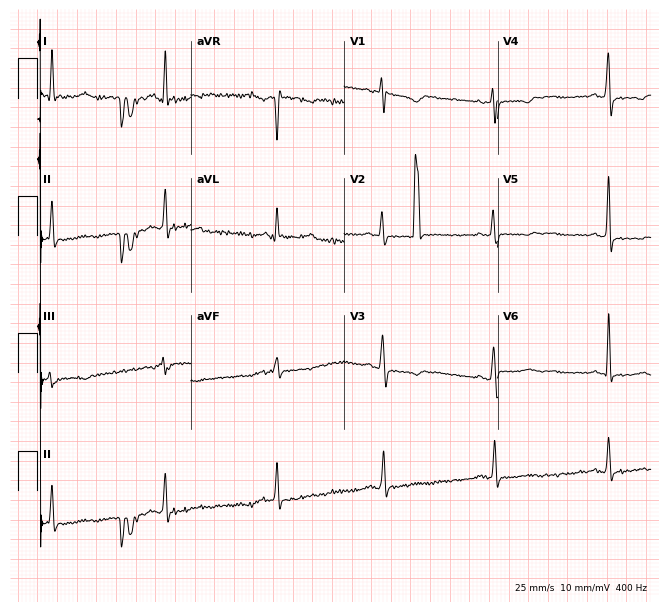
Resting 12-lead electrocardiogram. Patient: a woman, 60 years old. None of these six findings is recorded: first-degree AV block, right bundle branch block, left bundle branch block, sinus bradycardia, atrial fibrillation, sinus tachycardia. Findings outside these six are not listed.